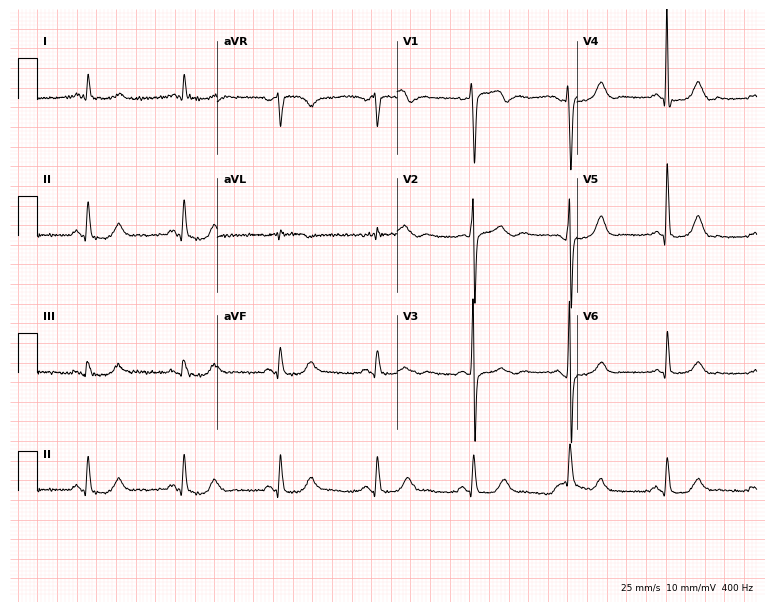
Standard 12-lead ECG recorded from a male patient, 68 years old. None of these six findings is recorded: first-degree AV block, right bundle branch block (RBBB), left bundle branch block (LBBB), sinus bradycardia, atrial fibrillation (AF), sinus tachycardia.